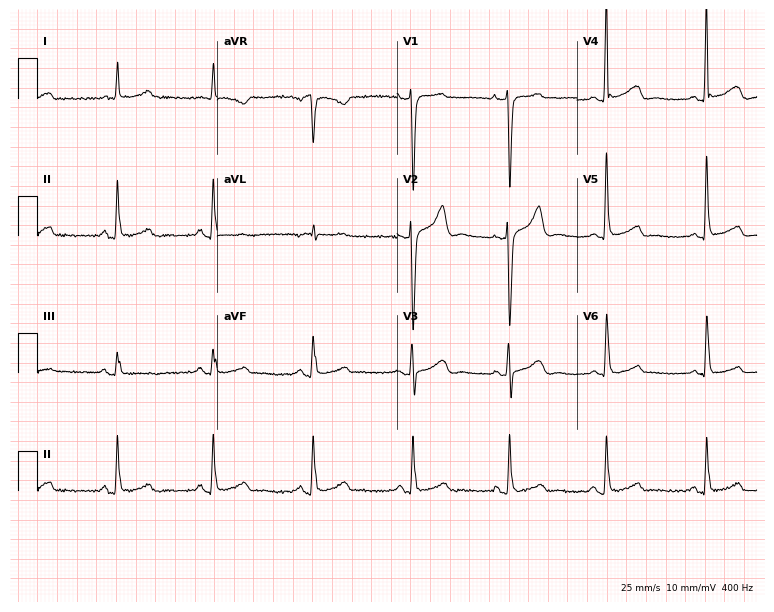
Standard 12-lead ECG recorded from a female patient, 72 years old (7.3-second recording at 400 Hz). Read as a normal ECG.